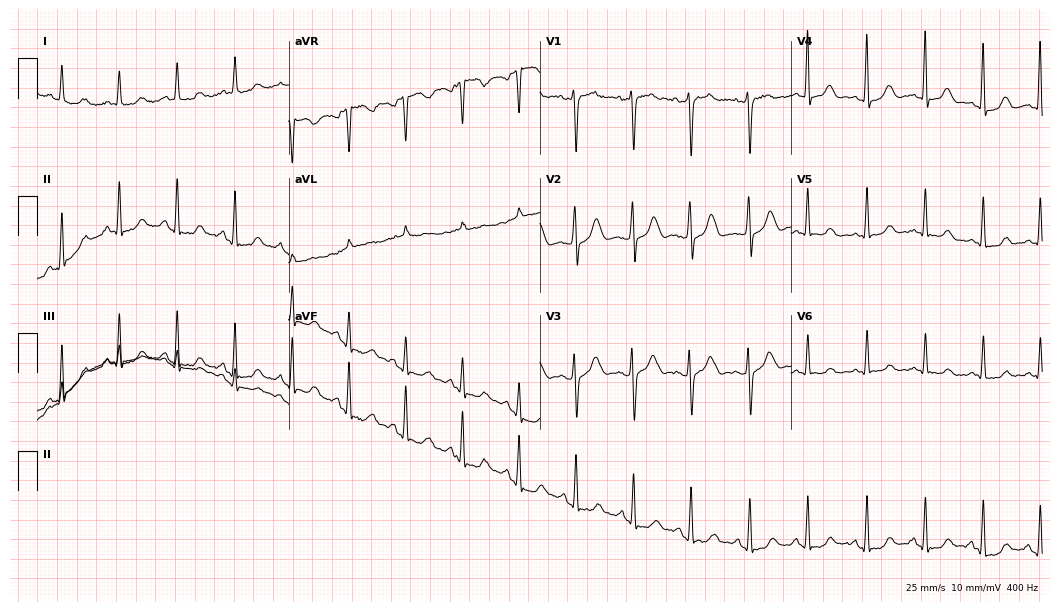
Resting 12-lead electrocardiogram. Patient: a female, 22 years old. The tracing shows sinus tachycardia (a sinus rate of 100 beats per minute or more).